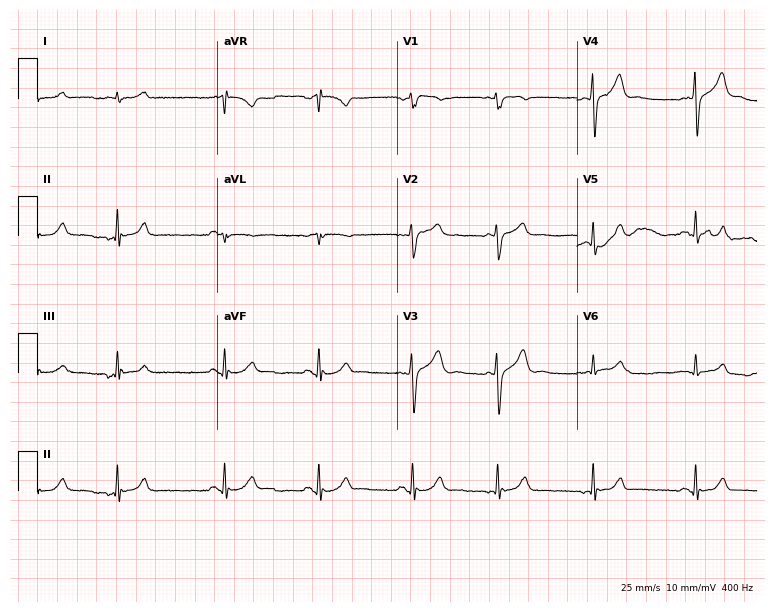
12-lead ECG from a male, 67 years old. Recorded interpretation: within normal limits.